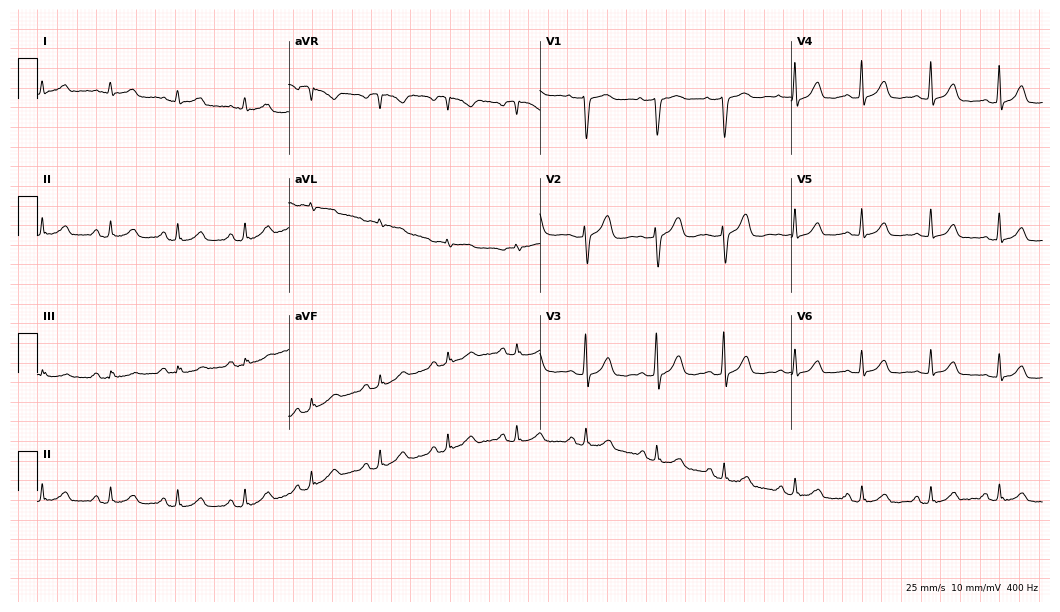
Standard 12-lead ECG recorded from a 44-year-old woman (10.2-second recording at 400 Hz). Read as a normal ECG.